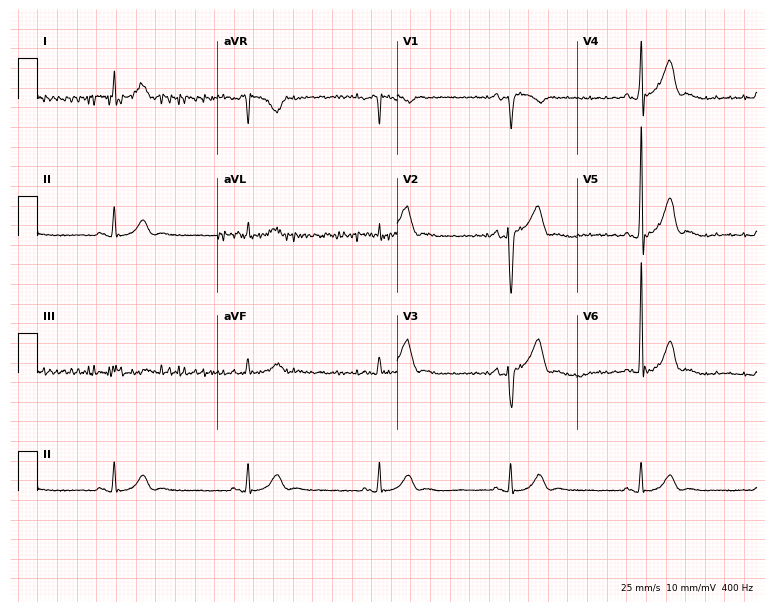
12-lead ECG from a male, 65 years old. No first-degree AV block, right bundle branch block, left bundle branch block, sinus bradycardia, atrial fibrillation or sinus tachycardia recorded for this tracing. Other findings, if any, are not listed.